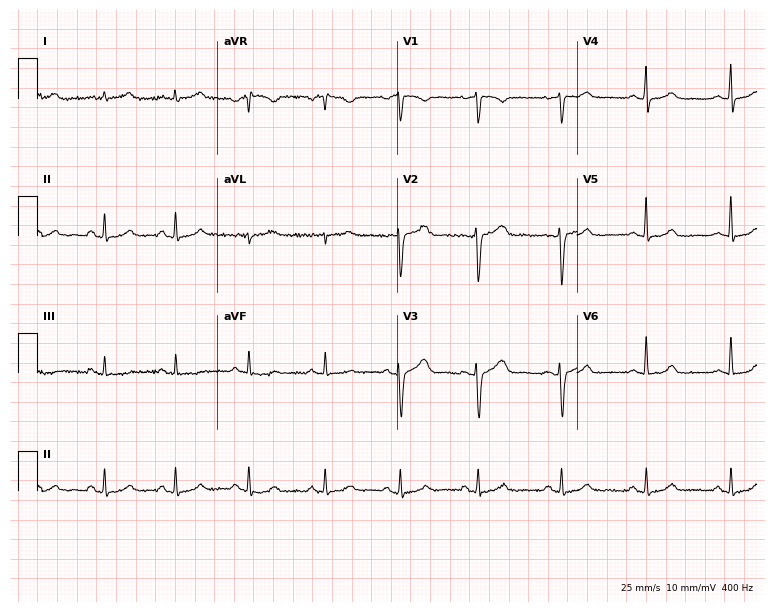
Electrocardiogram (7.3-second recording at 400 Hz), a female patient, 36 years old. Overall reading on record: normal ECG.